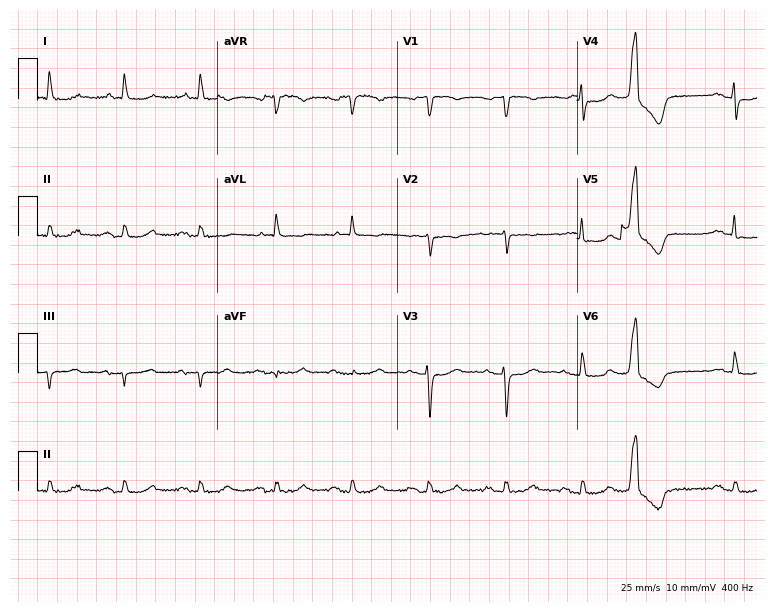
Resting 12-lead electrocardiogram (7.3-second recording at 400 Hz). Patient: an 82-year-old male. None of these six findings is recorded: first-degree AV block, right bundle branch block, left bundle branch block, sinus bradycardia, atrial fibrillation, sinus tachycardia. Only these six findings were labelled.